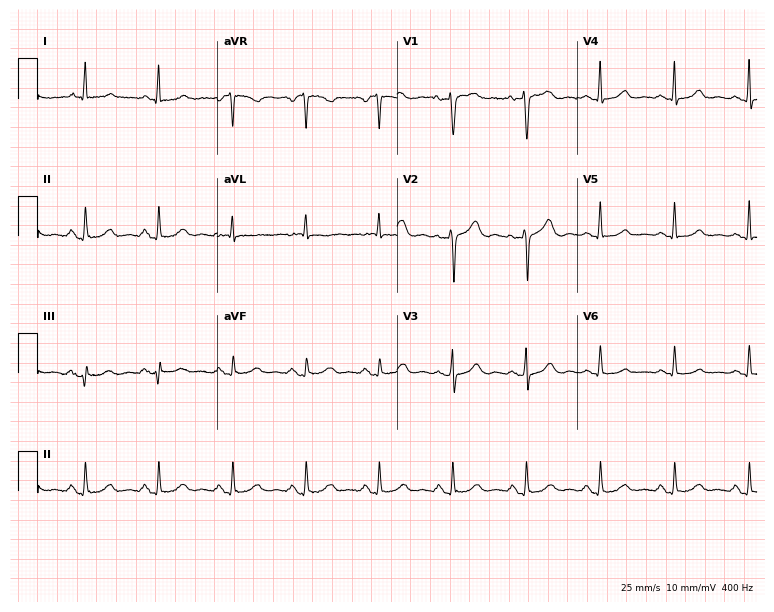
ECG (7.3-second recording at 400 Hz) — a female, 78 years old. Labelled as a normal ECG.